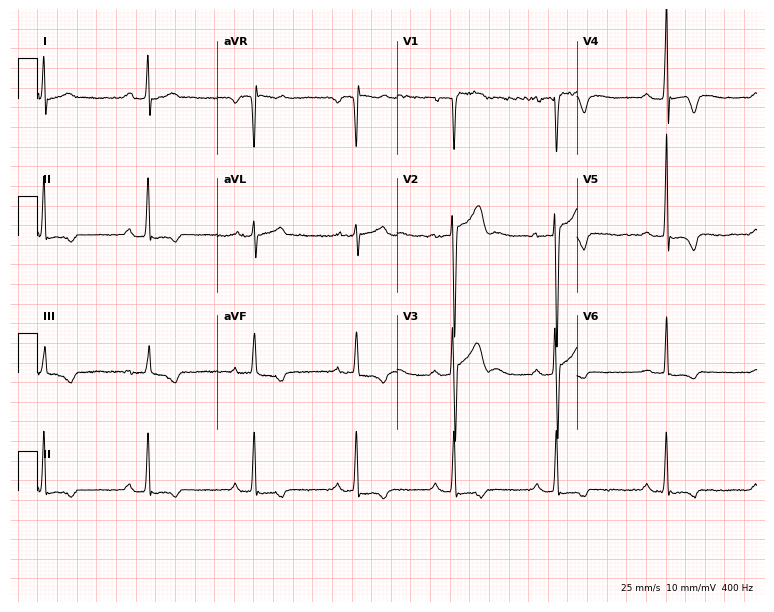
Resting 12-lead electrocardiogram. Patient: a male, 36 years old. None of these six findings is recorded: first-degree AV block, right bundle branch block, left bundle branch block, sinus bradycardia, atrial fibrillation, sinus tachycardia.